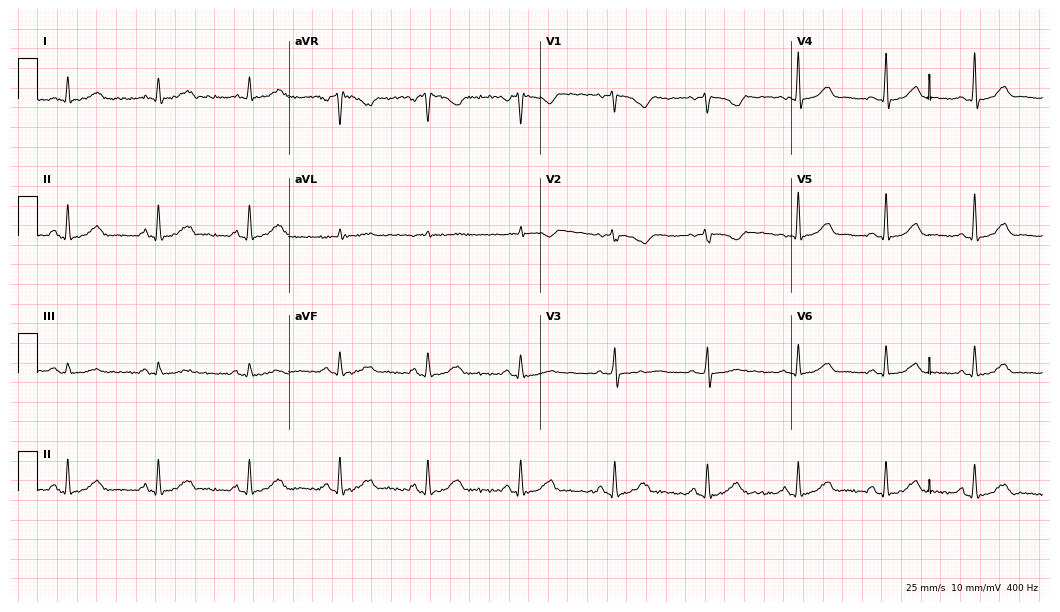
12-lead ECG from a female patient, 55 years old. No first-degree AV block, right bundle branch block, left bundle branch block, sinus bradycardia, atrial fibrillation or sinus tachycardia recorded for this tracing. Other findings, if any, are not listed.